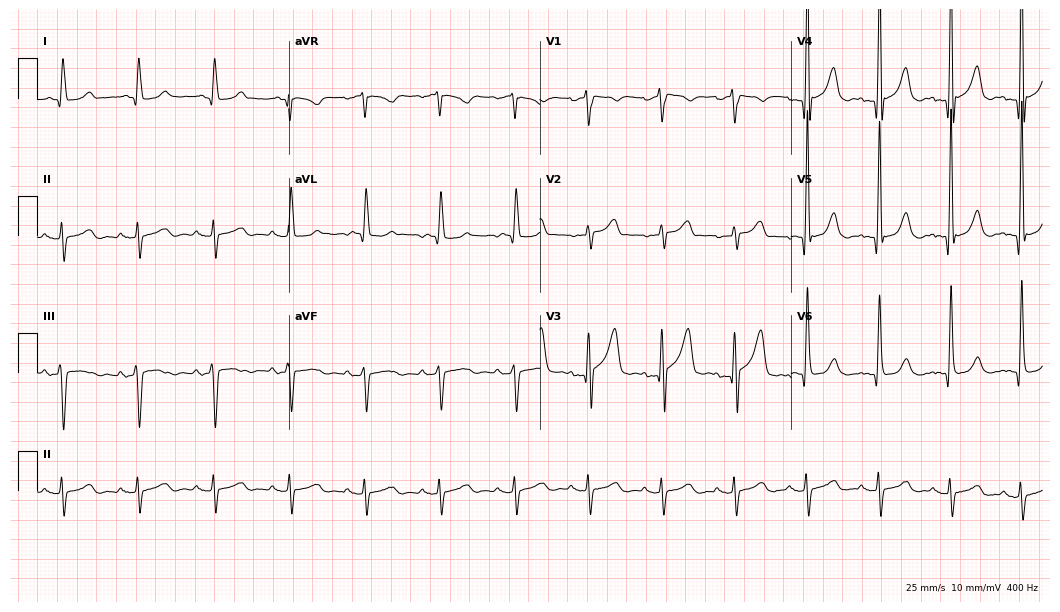
Standard 12-lead ECG recorded from a male patient, 52 years old (10.2-second recording at 400 Hz). None of these six findings is recorded: first-degree AV block, right bundle branch block (RBBB), left bundle branch block (LBBB), sinus bradycardia, atrial fibrillation (AF), sinus tachycardia.